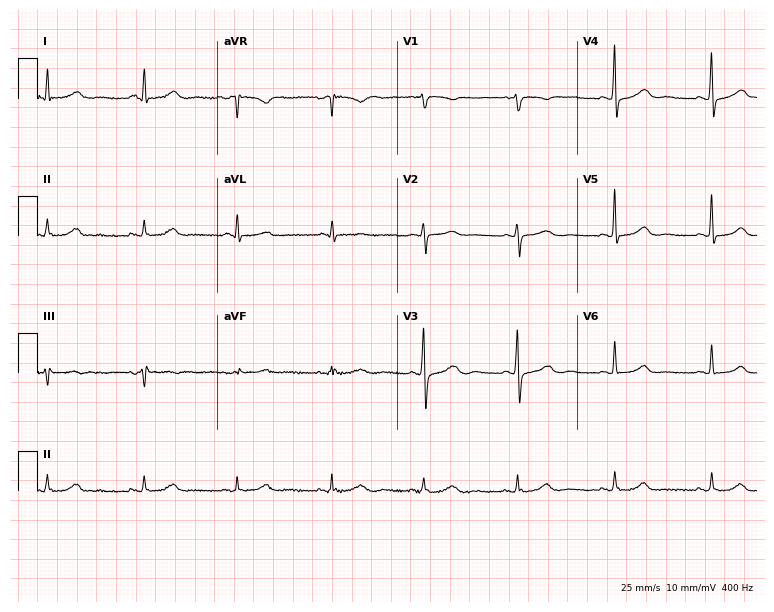
Standard 12-lead ECG recorded from a 56-year-old female patient. None of these six findings is recorded: first-degree AV block, right bundle branch block, left bundle branch block, sinus bradycardia, atrial fibrillation, sinus tachycardia.